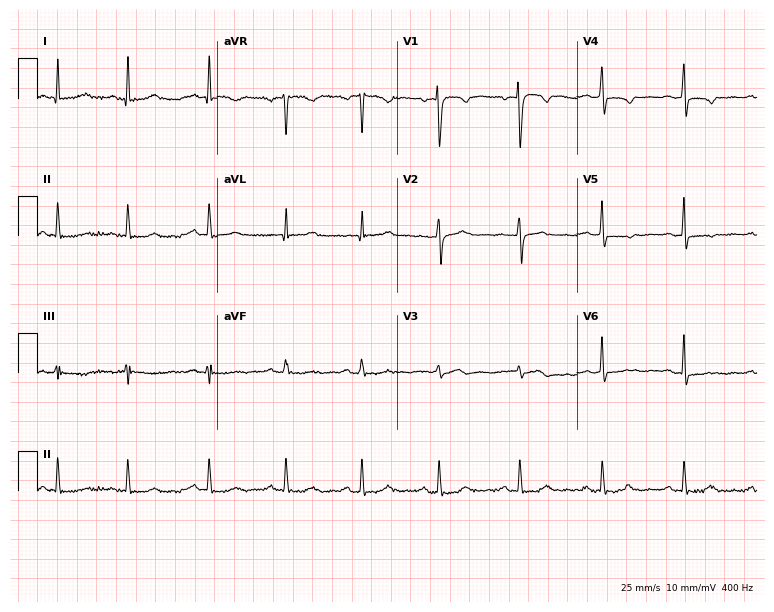
Standard 12-lead ECG recorded from a female patient, 39 years old. None of these six findings is recorded: first-degree AV block, right bundle branch block, left bundle branch block, sinus bradycardia, atrial fibrillation, sinus tachycardia. Only these six findings were labelled.